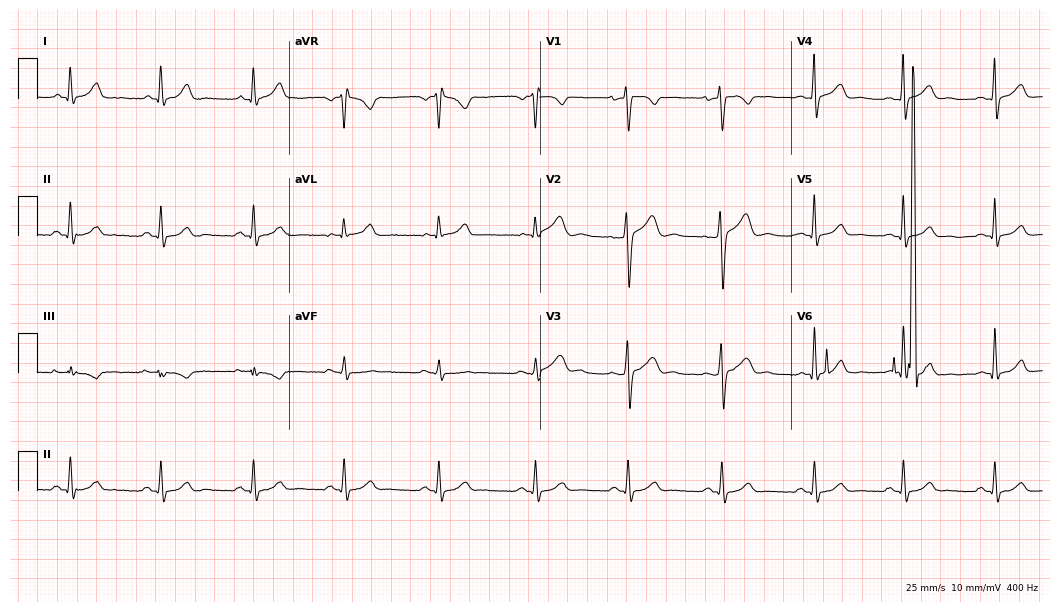
ECG (10.2-second recording at 400 Hz) — a male patient, 35 years old. Screened for six findings — first-degree AV block, right bundle branch block (RBBB), left bundle branch block (LBBB), sinus bradycardia, atrial fibrillation (AF), sinus tachycardia — none is recorded. Only these six findings were labelled.